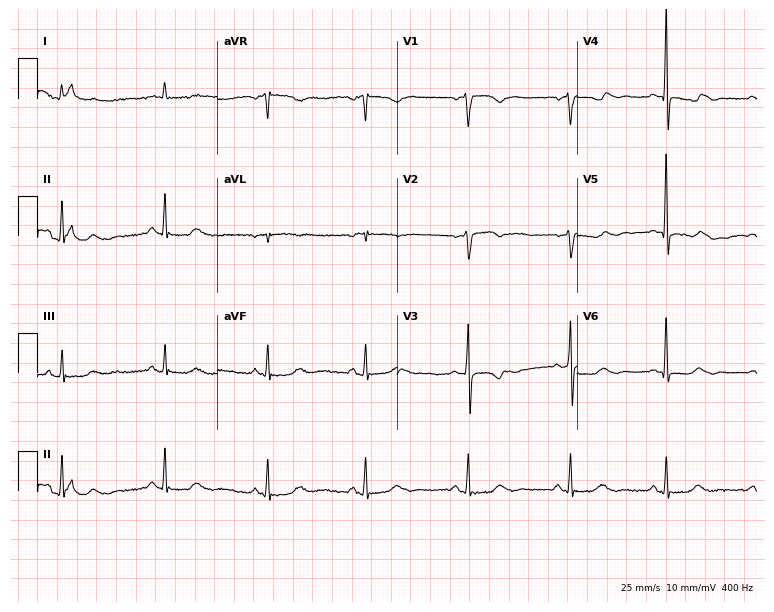
12-lead ECG from a 52-year-old female. No first-degree AV block, right bundle branch block, left bundle branch block, sinus bradycardia, atrial fibrillation or sinus tachycardia recorded for this tracing.